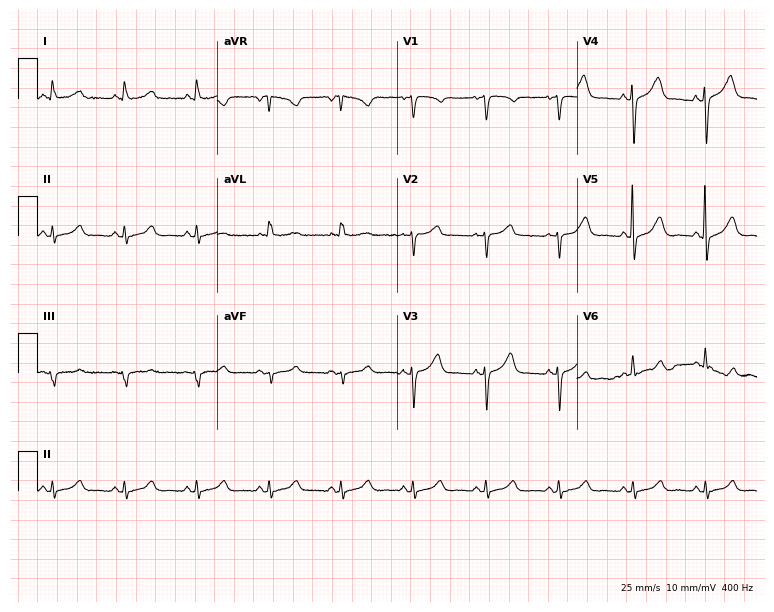
Standard 12-lead ECG recorded from a 73-year-old female patient. None of these six findings is recorded: first-degree AV block, right bundle branch block (RBBB), left bundle branch block (LBBB), sinus bradycardia, atrial fibrillation (AF), sinus tachycardia. Only these six findings were labelled.